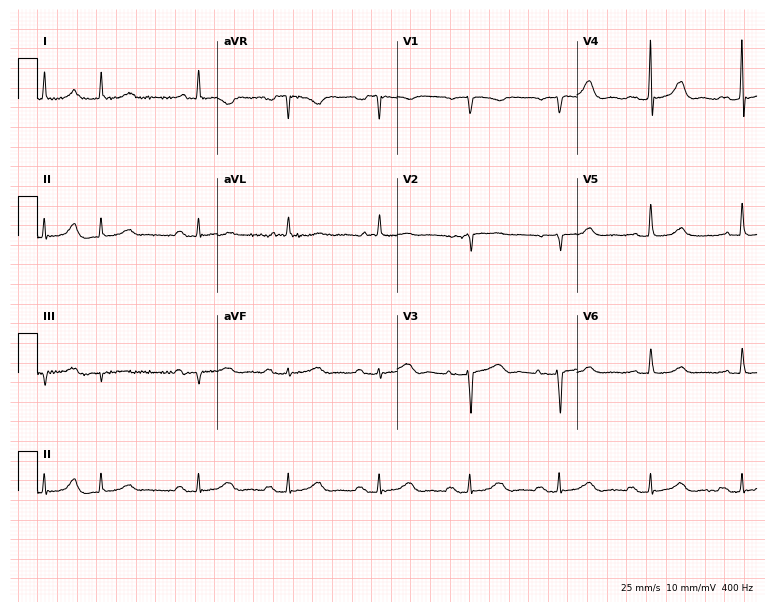
Electrocardiogram (7.3-second recording at 400 Hz), a 73-year-old female. Of the six screened findings (first-degree AV block, right bundle branch block (RBBB), left bundle branch block (LBBB), sinus bradycardia, atrial fibrillation (AF), sinus tachycardia), none is recorded.